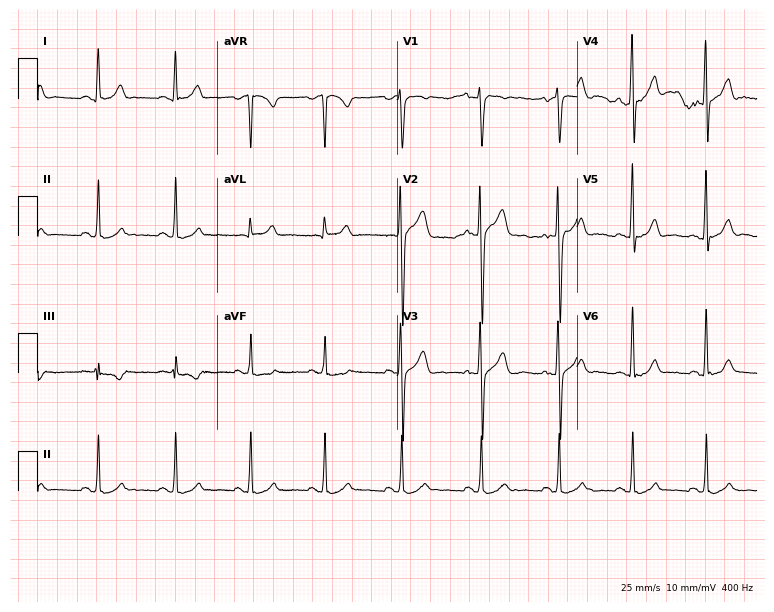
12-lead ECG from a 39-year-old male patient. Labelled as a normal ECG.